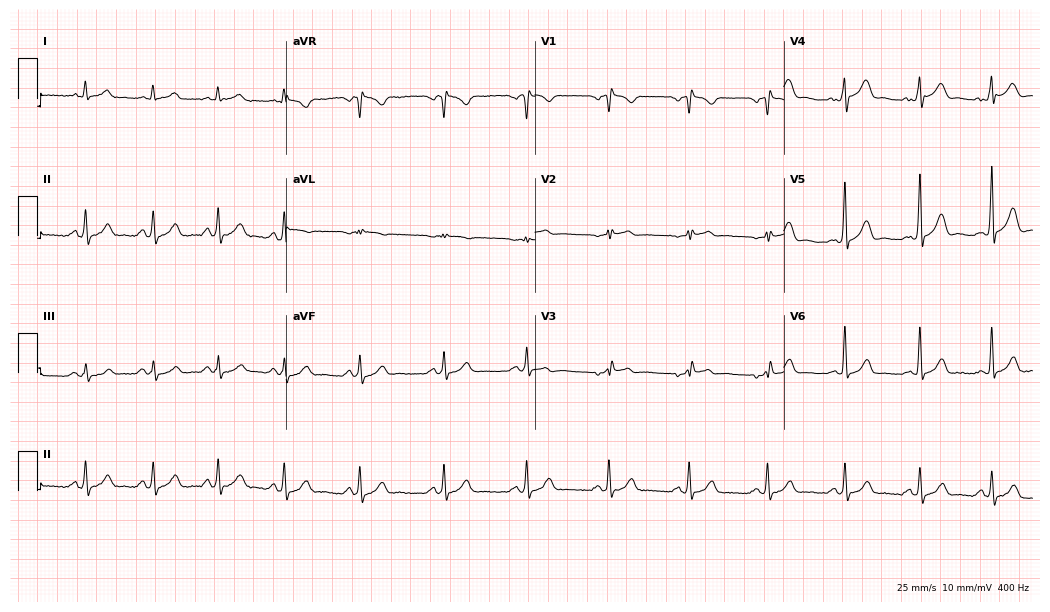
Standard 12-lead ECG recorded from a man, 46 years old (10.1-second recording at 400 Hz). None of these six findings is recorded: first-degree AV block, right bundle branch block (RBBB), left bundle branch block (LBBB), sinus bradycardia, atrial fibrillation (AF), sinus tachycardia.